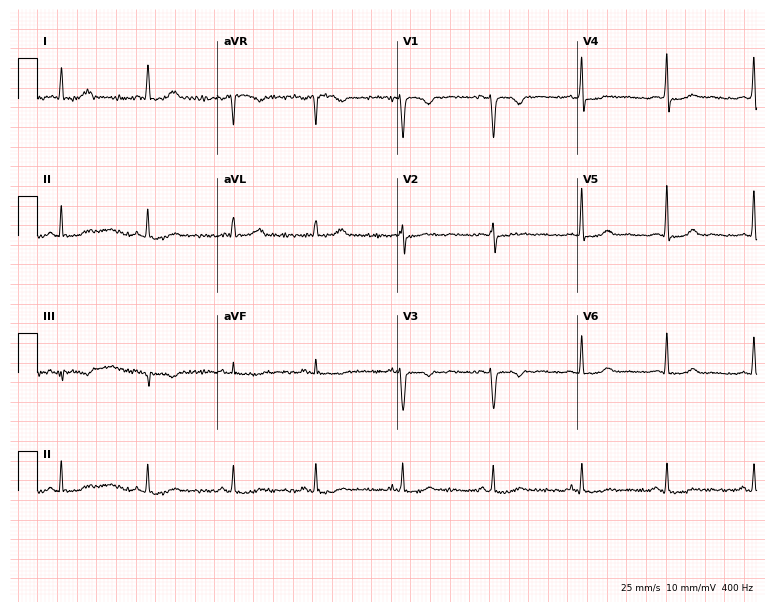
12-lead ECG (7.3-second recording at 400 Hz) from a 41-year-old female. Screened for six findings — first-degree AV block, right bundle branch block, left bundle branch block, sinus bradycardia, atrial fibrillation, sinus tachycardia — none is recorded.